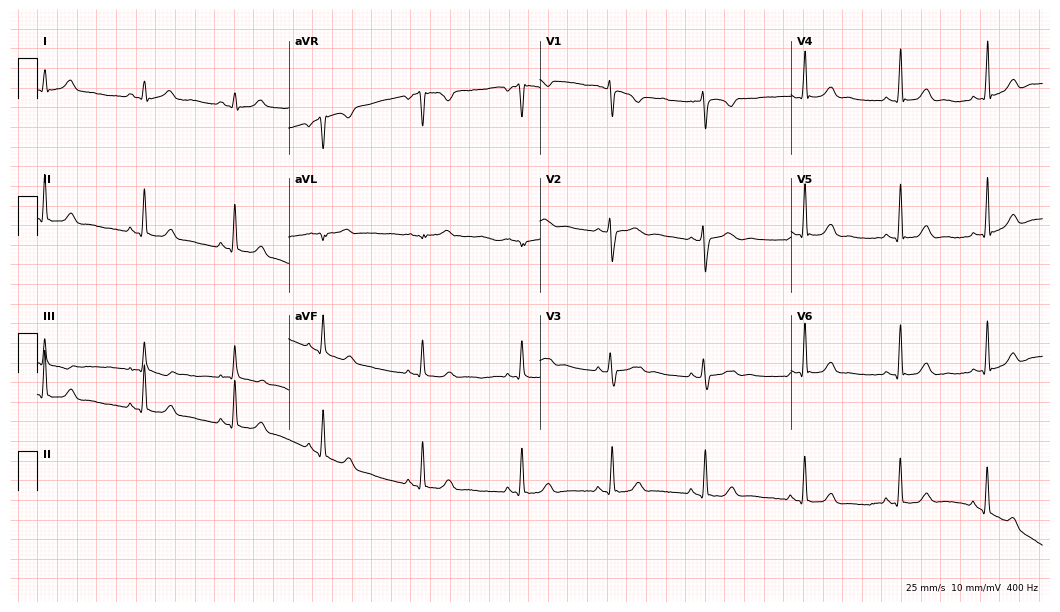
Standard 12-lead ECG recorded from a 28-year-old female patient. Read as a normal ECG.